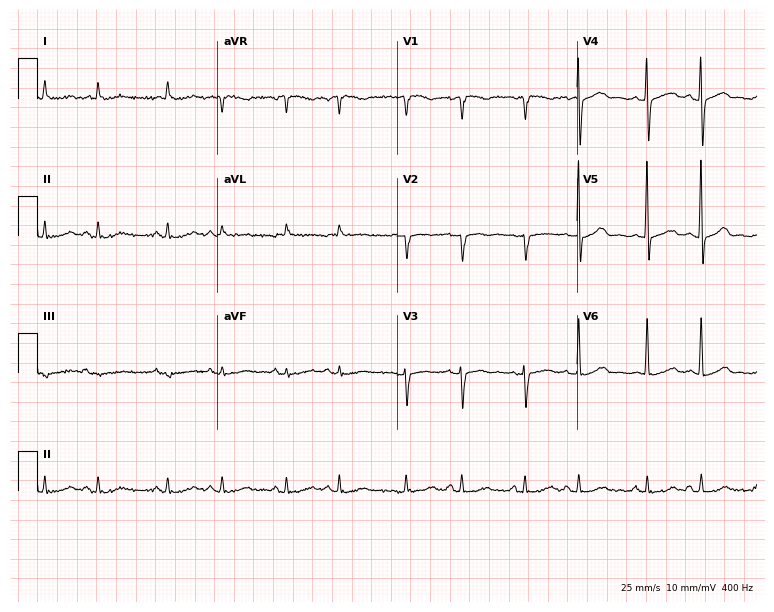
12-lead ECG from a female patient, 83 years old. Screened for six findings — first-degree AV block, right bundle branch block, left bundle branch block, sinus bradycardia, atrial fibrillation, sinus tachycardia — none is recorded. Other findings, if any, are not listed.